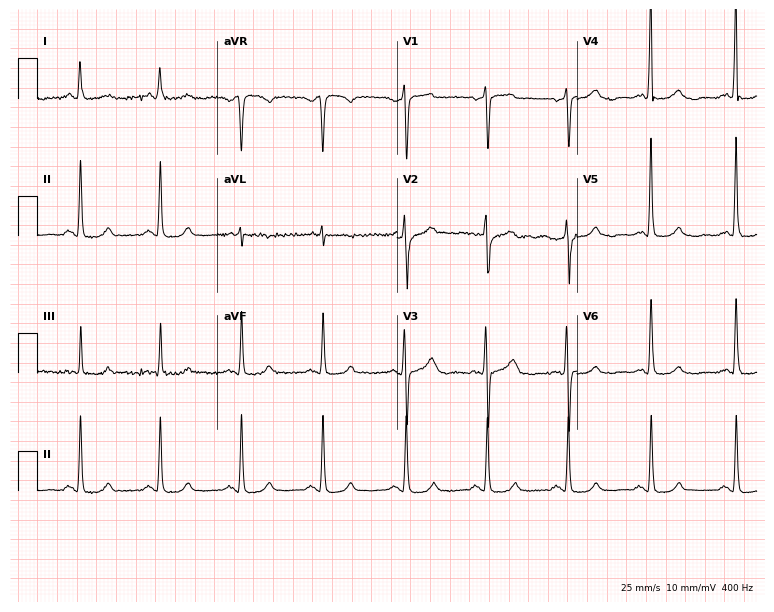
12-lead ECG (7.3-second recording at 400 Hz) from a 75-year-old male patient. Labelled as a normal ECG.